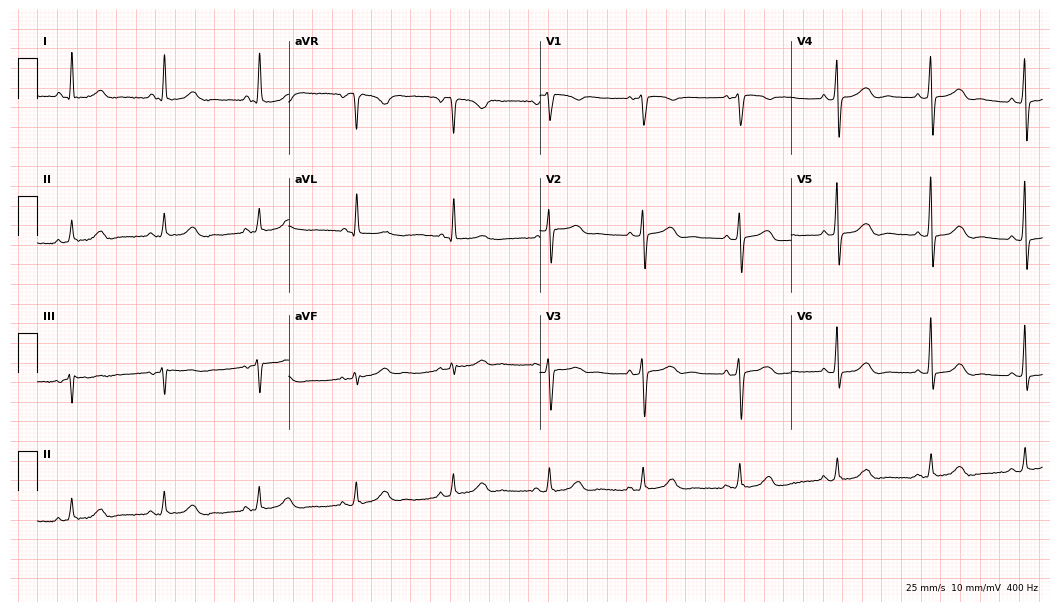
Resting 12-lead electrocardiogram. Patient: a 68-year-old female. Read as a normal ECG.